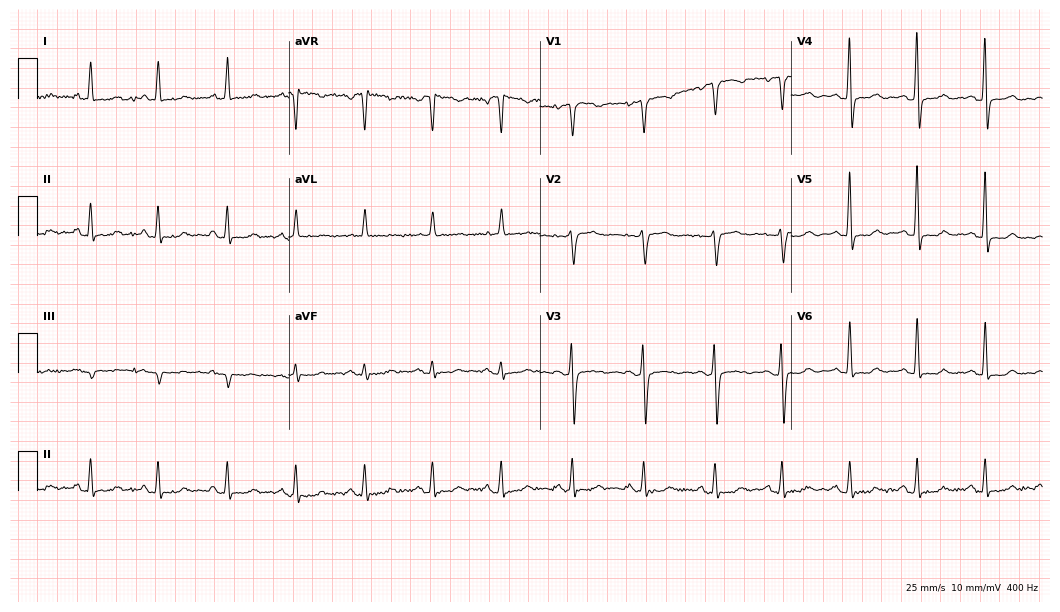
12-lead ECG (10.2-second recording at 400 Hz) from a 46-year-old woman. Labelled as a normal ECG.